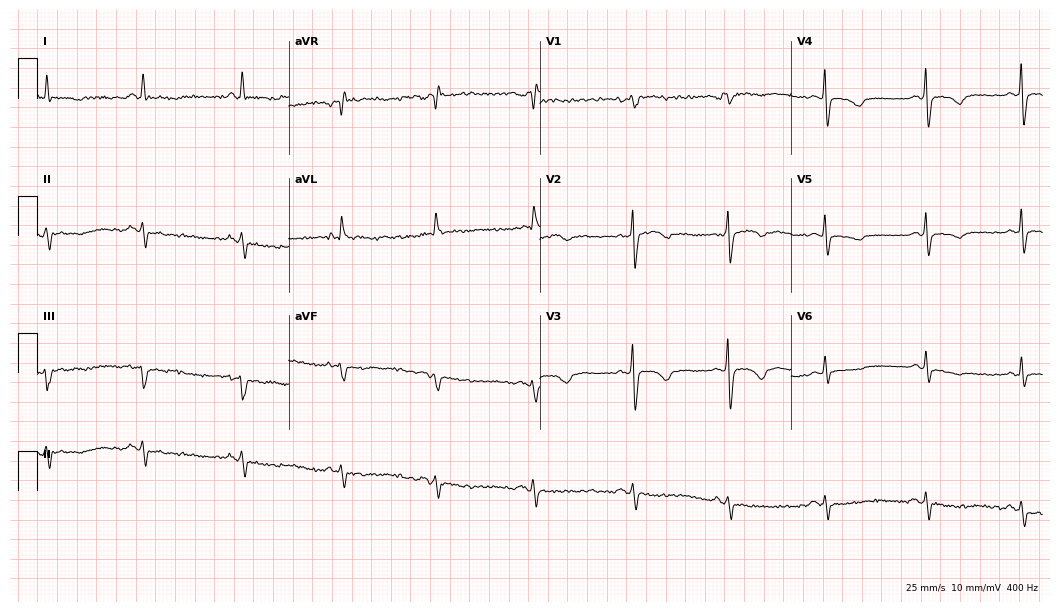
12-lead ECG (10.2-second recording at 400 Hz) from a female, 70 years old. Screened for six findings — first-degree AV block, right bundle branch block (RBBB), left bundle branch block (LBBB), sinus bradycardia, atrial fibrillation (AF), sinus tachycardia — none is recorded.